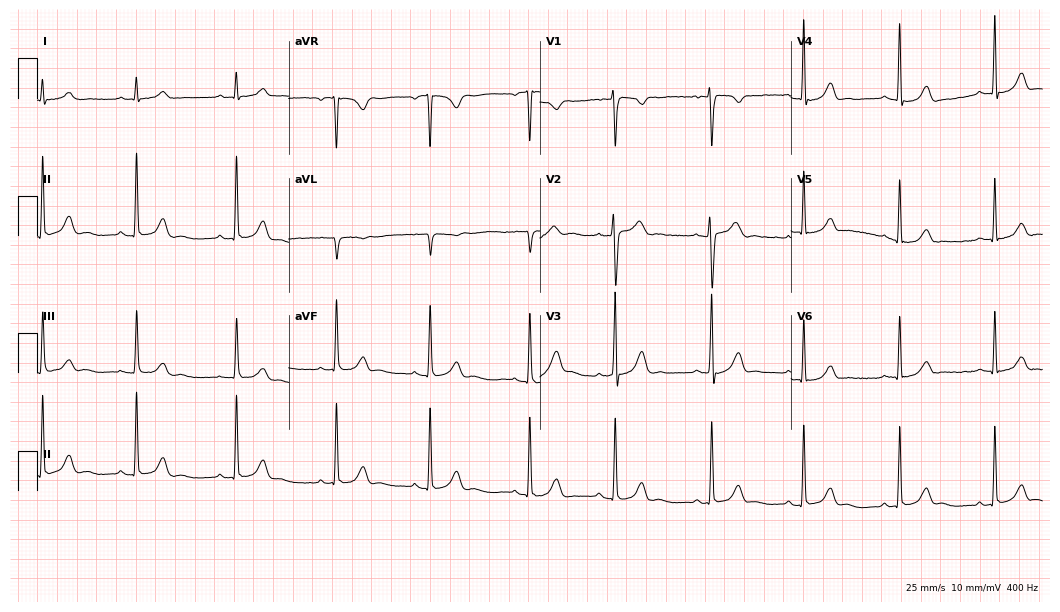
12-lead ECG from a woman, 26 years old (10.2-second recording at 400 Hz). No first-degree AV block, right bundle branch block (RBBB), left bundle branch block (LBBB), sinus bradycardia, atrial fibrillation (AF) or sinus tachycardia recorded for this tracing. Other findings, if any, are not listed.